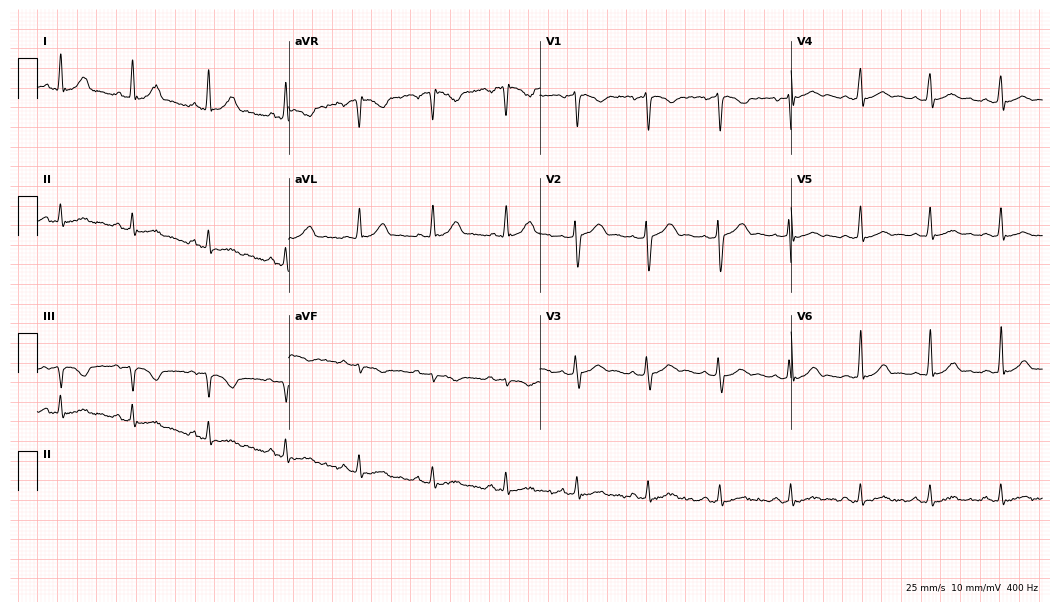
Resting 12-lead electrocardiogram. Patient: a male, 35 years old. Read as a normal ECG.